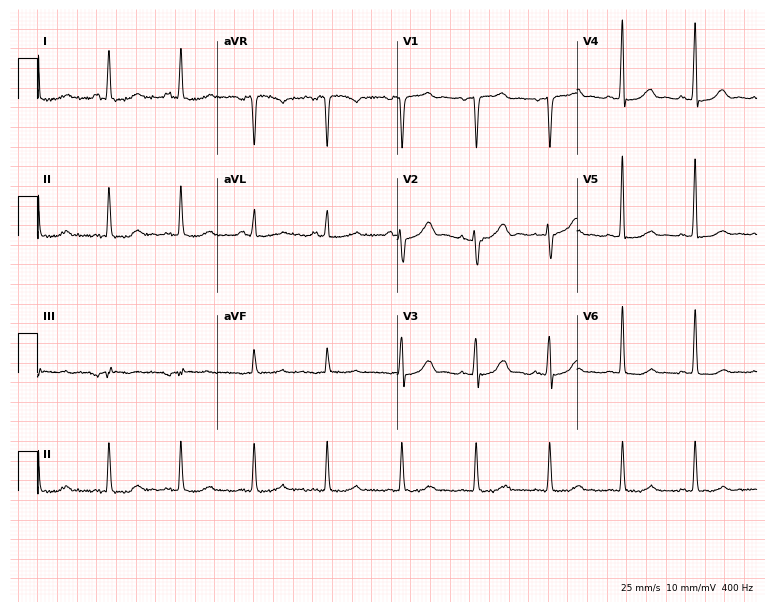
Standard 12-lead ECG recorded from a female, 67 years old. None of these six findings is recorded: first-degree AV block, right bundle branch block, left bundle branch block, sinus bradycardia, atrial fibrillation, sinus tachycardia.